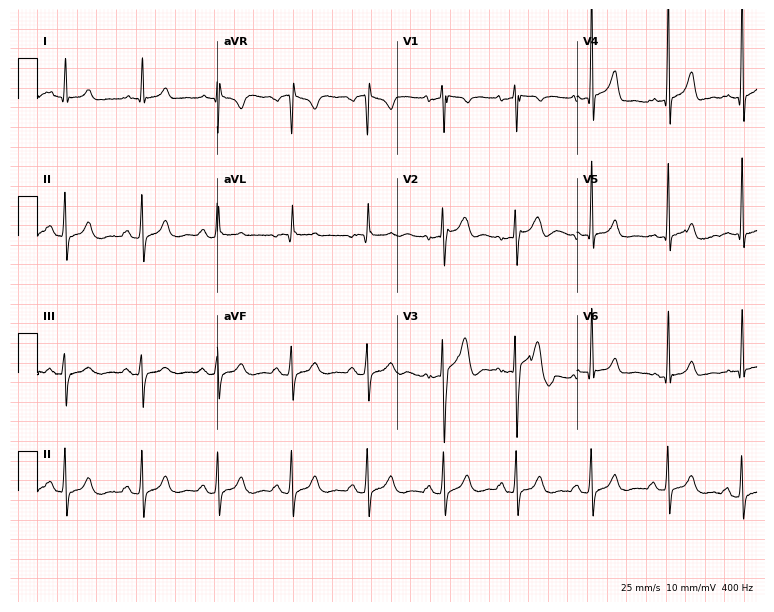
12-lead ECG (7.3-second recording at 400 Hz) from a man, 31 years old. Labelled as a normal ECG.